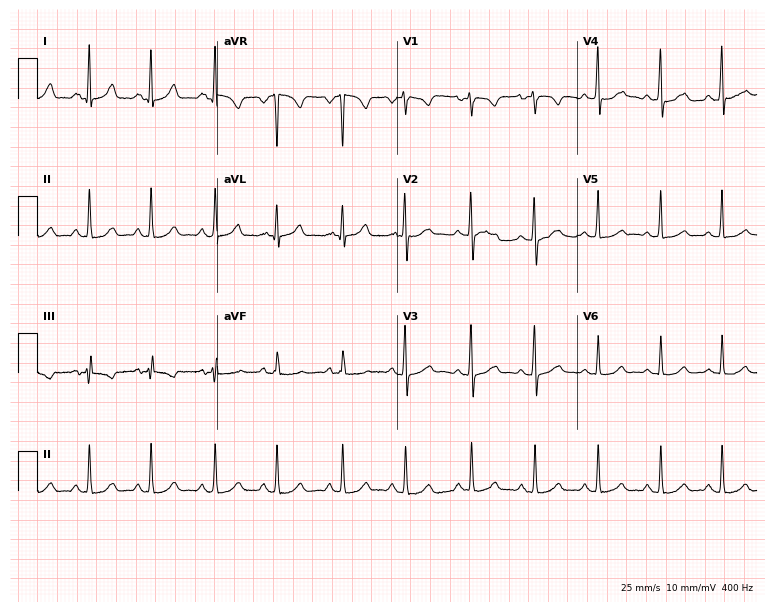
Resting 12-lead electrocardiogram (7.3-second recording at 400 Hz). Patient: a female, 19 years old. Read as a normal ECG.